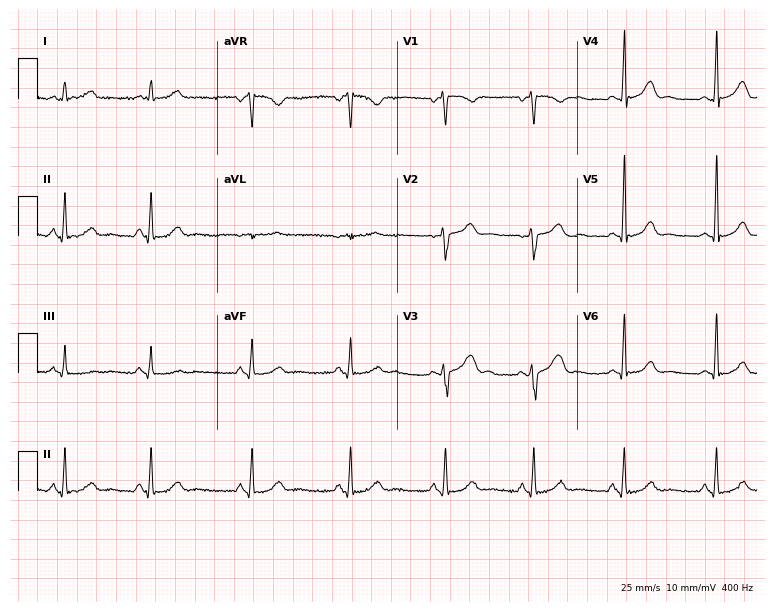
Resting 12-lead electrocardiogram (7.3-second recording at 400 Hz). Patient: a female, 38 years old. None of these six findings is recorded: first-degree AV block, right bundle branch block, left bundle branch block, sinus bradycardia, atrial fibrillation, sinus tachycardia.